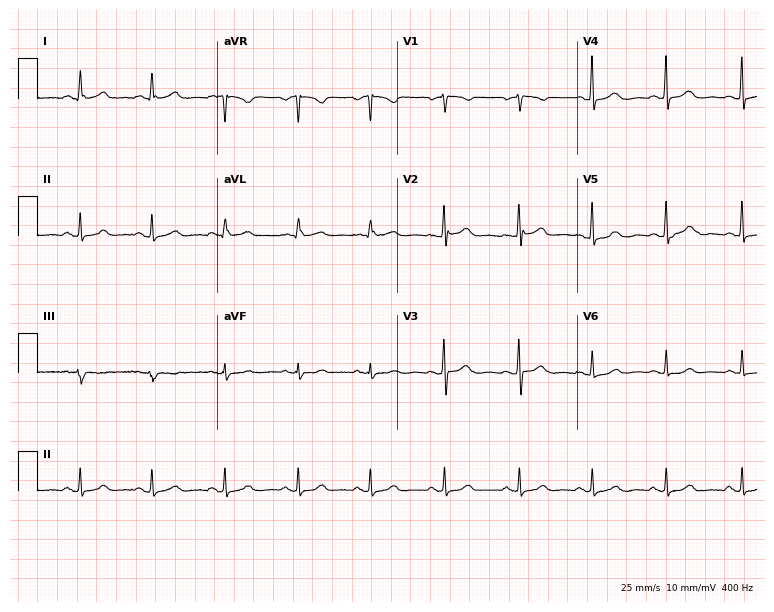
Standard 12-lead ECG recorded from a 69-year-old female patient (7.3-second recording at 400 Hz). Read as a normal ECG.